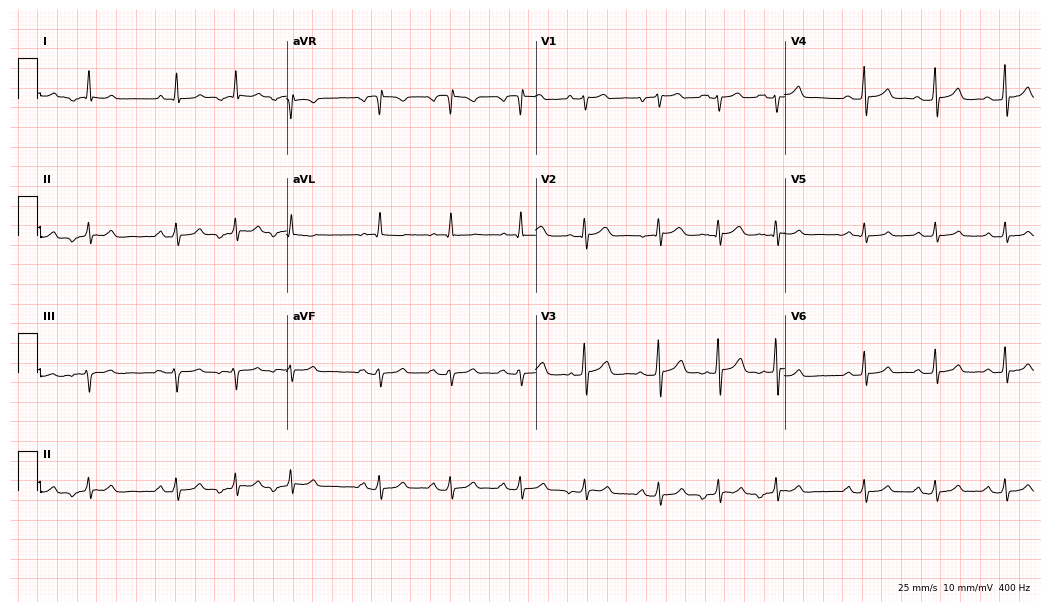
12-lead ECG from a 53-year-old male. Screened for six findings — first-degree AV block, right bundle branch block (RBBB), left bundle branch block (LBBB), sinus bradycardia, atrial fibrillation (AF), sinus tachycardia — none is recorded.